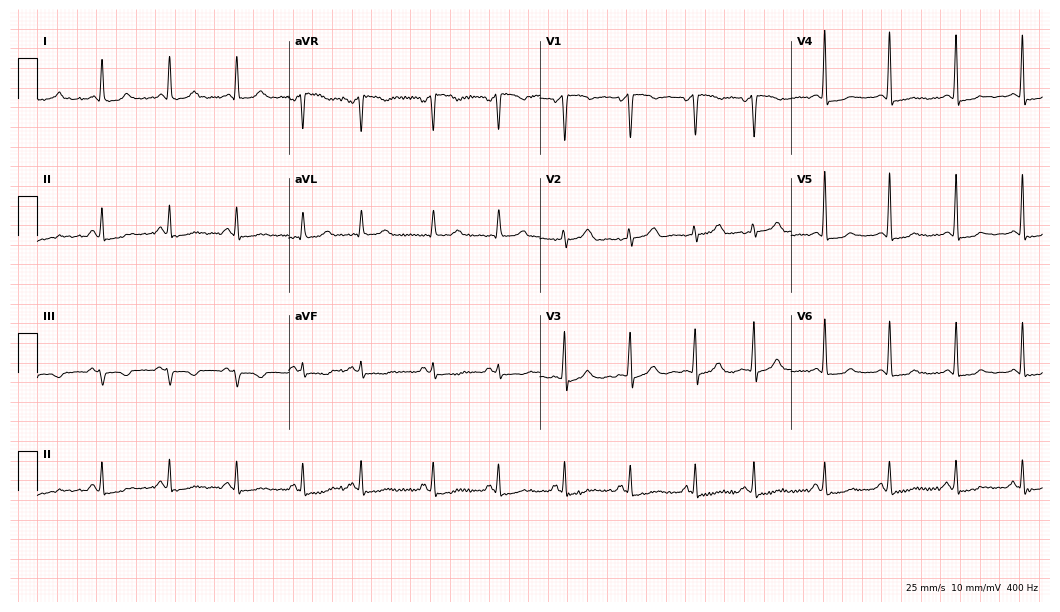
12-lead ECG from a female patient, 44 years old. Labelled as a normal ECG.